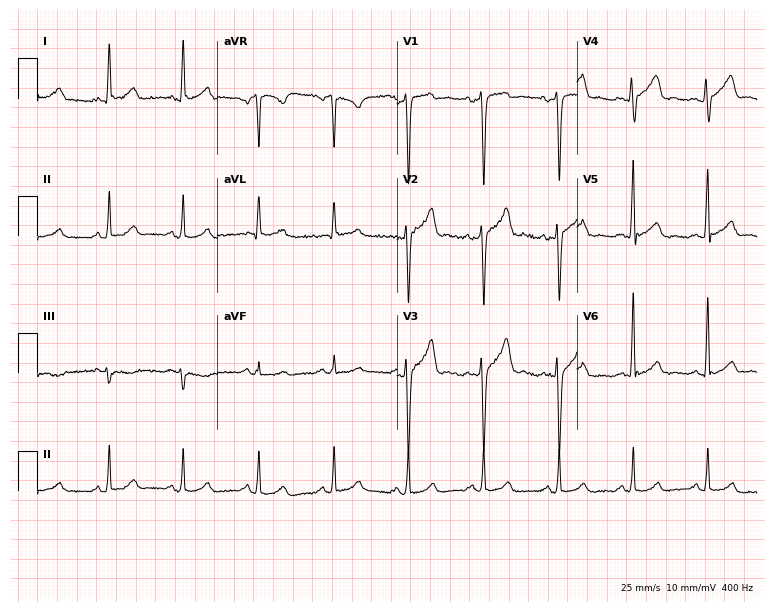
12-lead ECG from a 38-year-old man. No first-degree AV block, right bundle branch block, left bundle branch block, sinus bradycardia, atrial fibrillation or sinus tachycardia recorded for this tracing.